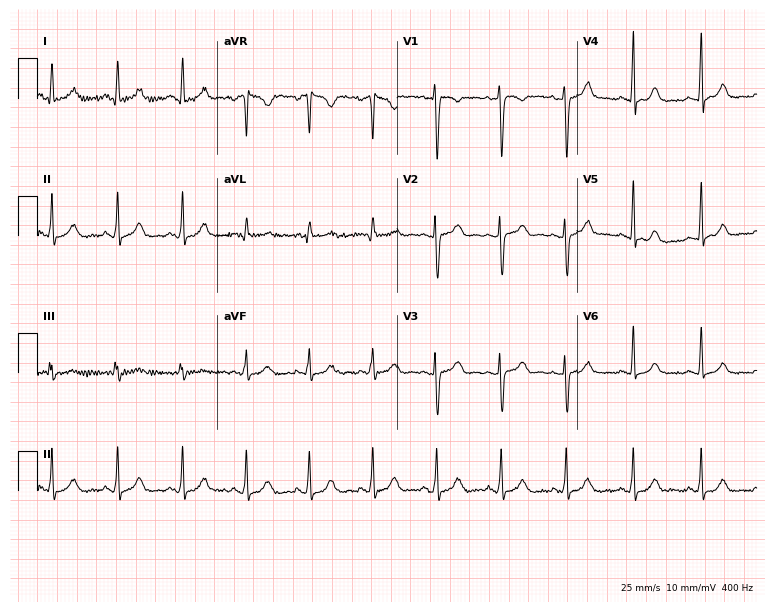
12-lead ECG from a 25-year-old female. Labelled as a normal ECG.